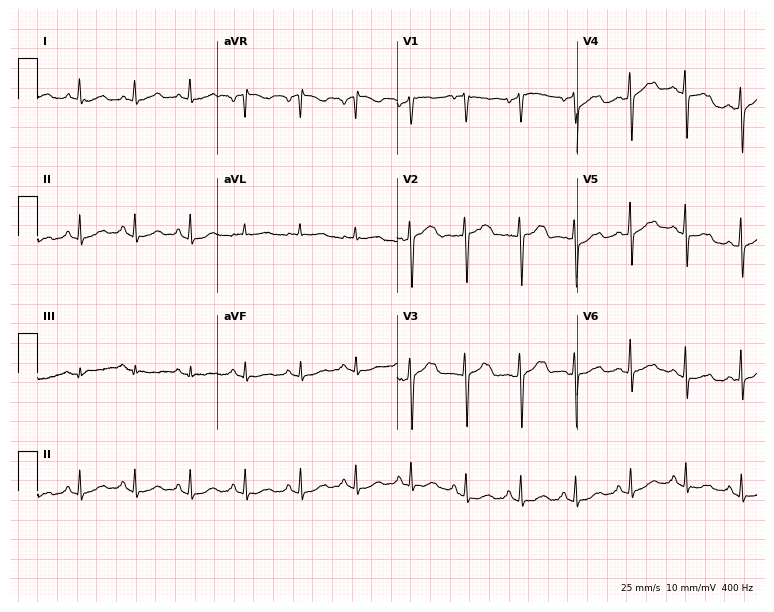
Electrocardiogram (7.3-second recording at 400 Hz), a female patient, 52 years old. Interpretation includes sinus tachycardia (a sinus rate of 100 beats per minute or more).